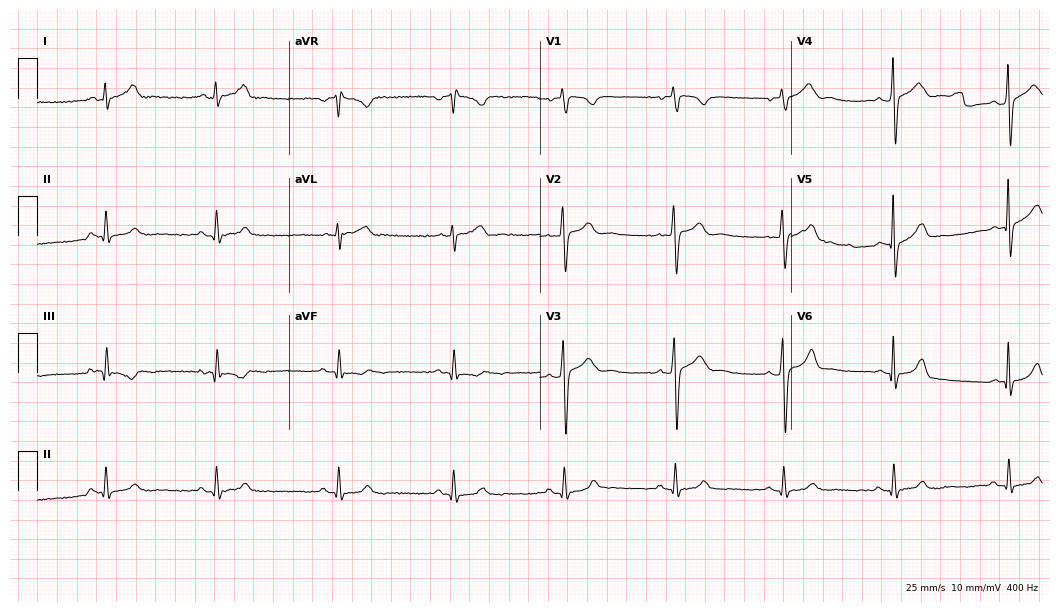
12-lead ECG from a male patient, 26 years old (10.2-second recording at 400 Hz). Recorded interpretation: within normal limits.